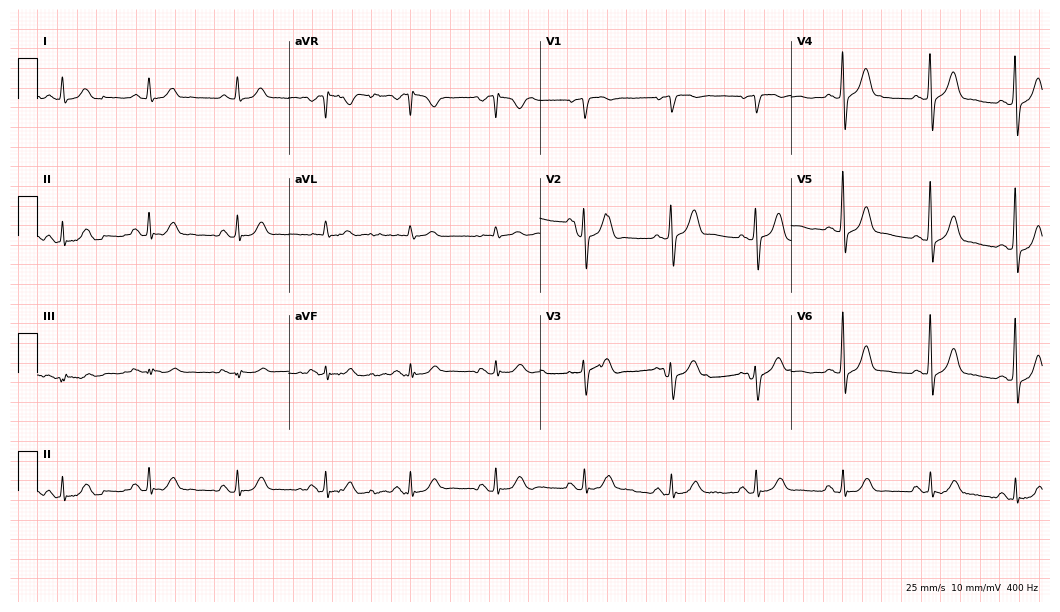
Standard 12-lead ECG recorded from a man, 56 years old. Read as a normal ECG.